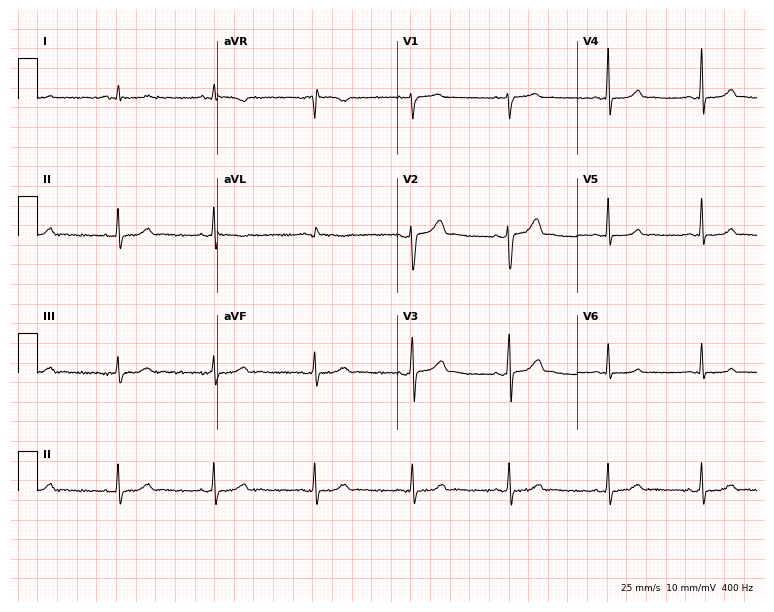
12-lead ECG from a 32-year-old female patient. Labelled as a normal ECG.